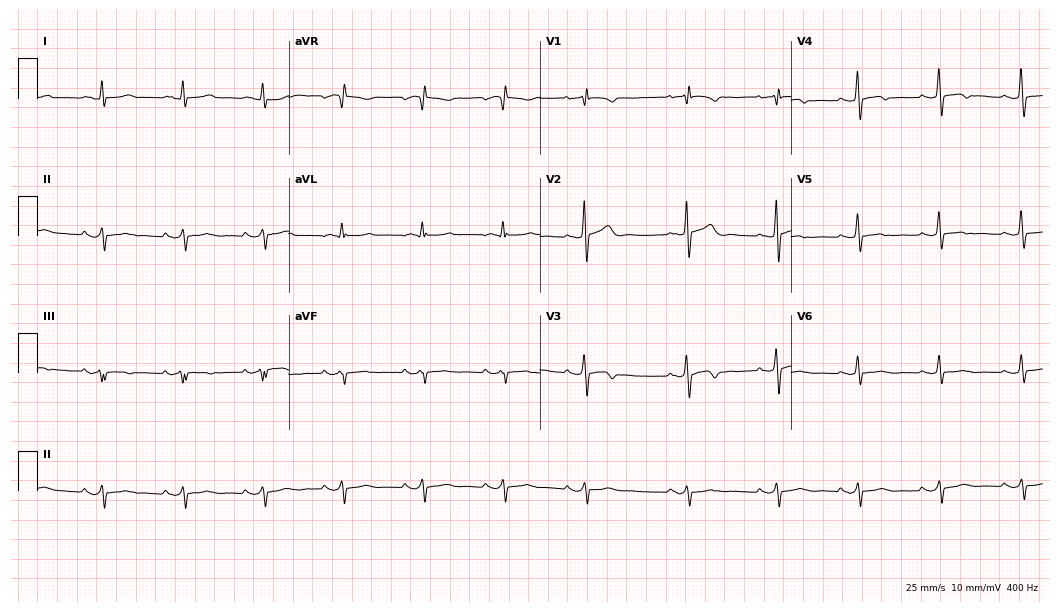
ECG (10.2-second recording at 400 Hz) — a 71-year-old female. Screened for six findings — first-degree AV block, right bundle branch block (RBBB), left bundle branch block (LBBB), sinus bradycardia, atrial fibrillation (AF), sinus tachycardia — none is recorded. Only these six findings were labelled.